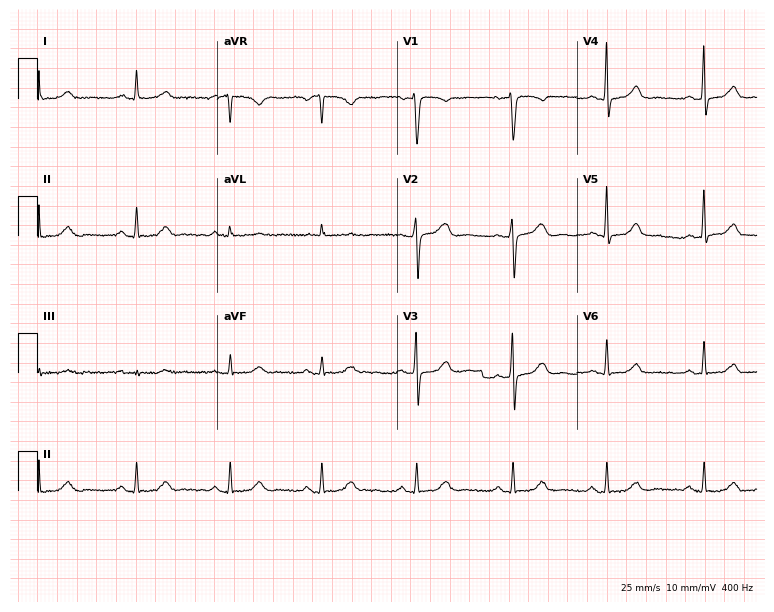
Standard 12-lead ECG recorded from a female, 47 years old (7.3-second recording at 400 Hz). Read as a normal ECG.